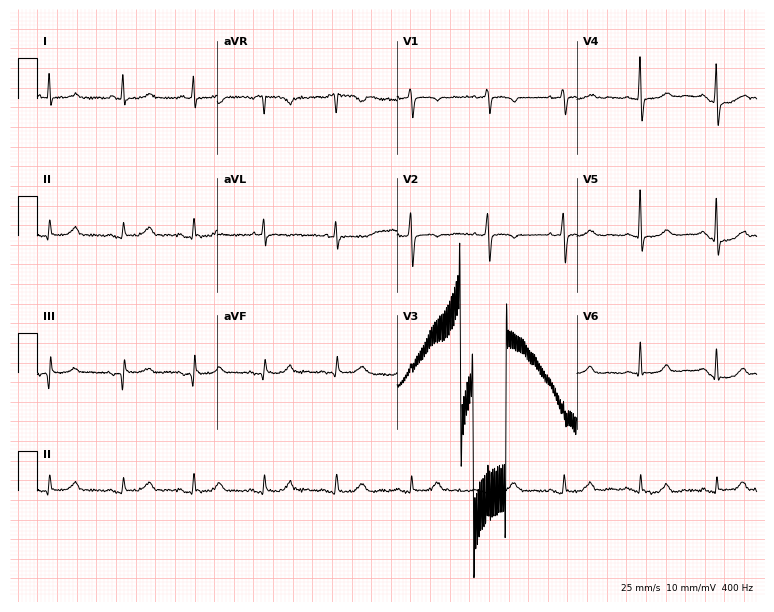
Standard 12-lead ECG recorded from an 83-year-old woman. None of these six findings is recorded: first-degree AV block, right bundle branch block (RBBB), left bundle branch block (LBBB), sinus bradycardia, atrial fibrillation (AF), sinus tachycardia.